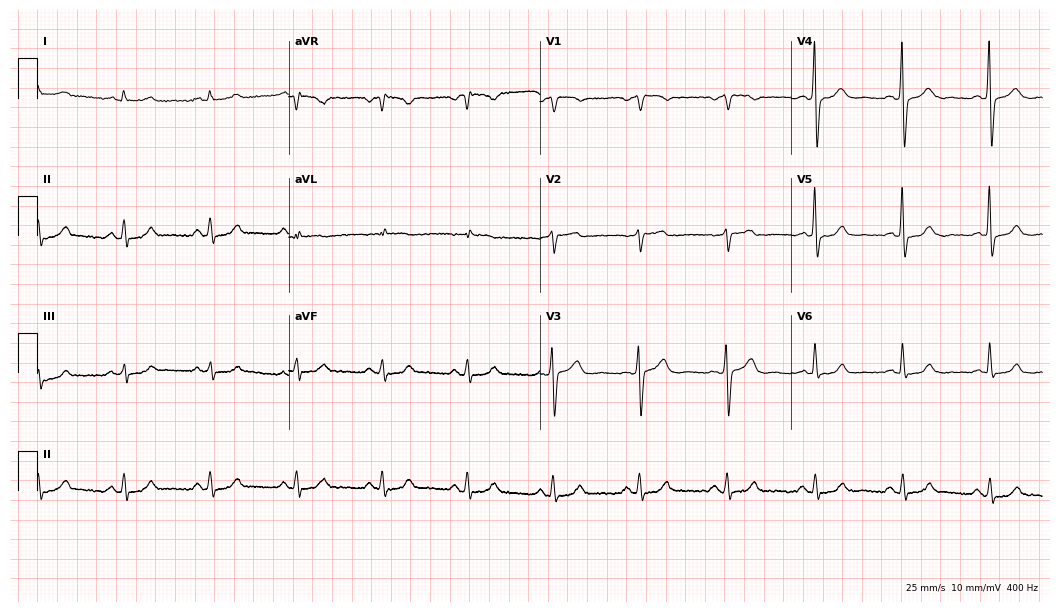
12-lead ECG from a 57-year-old male patient. Recorded interpretation: within normal limits.